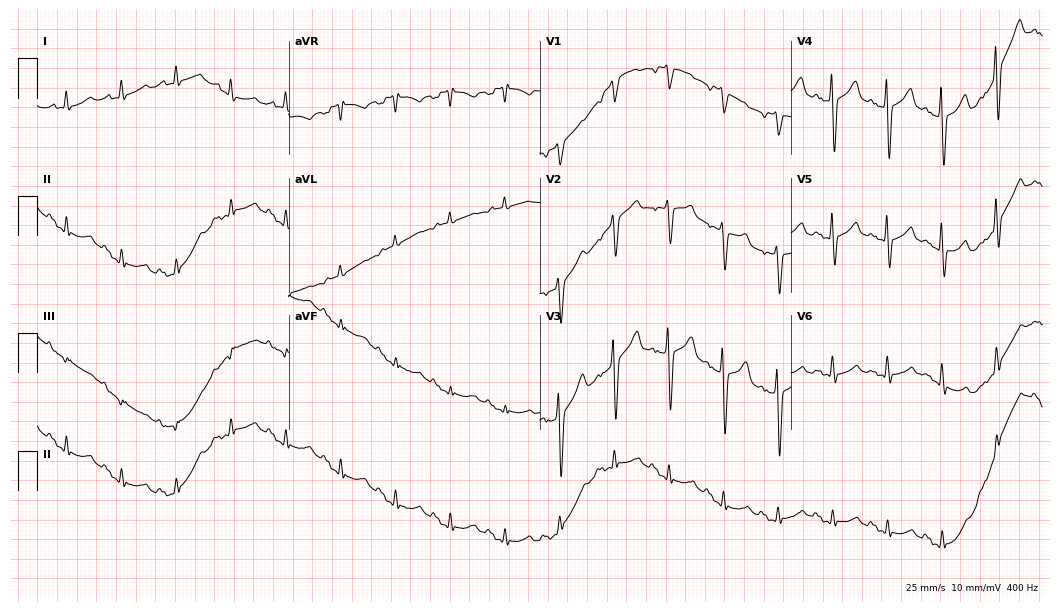
Resting 12-lead electrocardiogram. Patient: a 58-year-old man. The tracing shows sinus tachycardia (a sinus rate of 100 beats per minute or more).